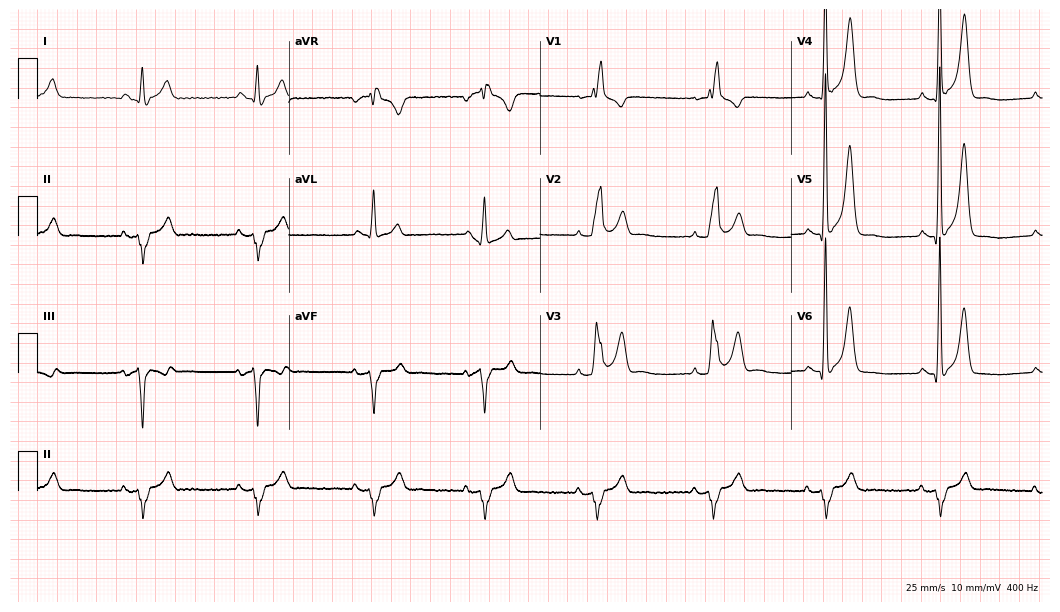
Standard 12-lead ECG recorded from a 51-year-old man. None of these six findings is recorded: first-degree AV block, right bundle branch block, left bundle branch block, sinus bradycardia, atrial fibrillation, sinus tachycardia. Findings outside these six are not listed.